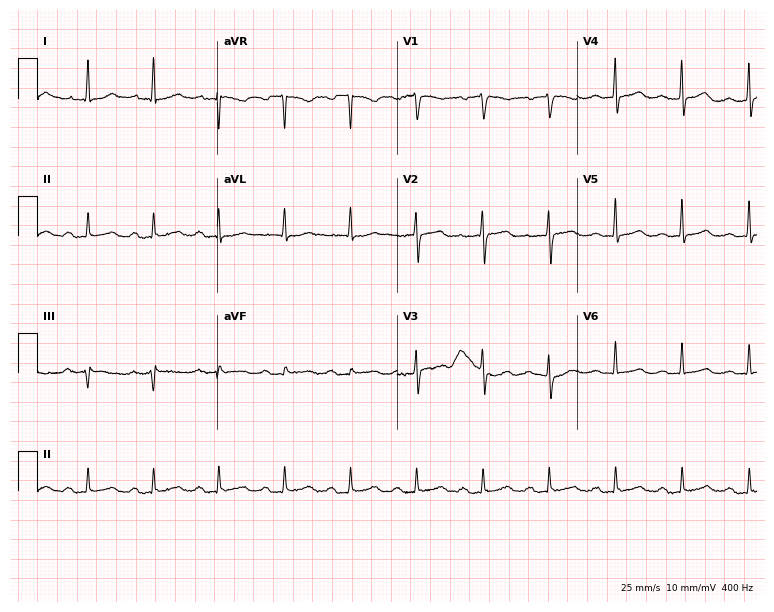
ECG (7.3-second recording at 400 Hz) — a 78-year-old female patient. Labelled as a normal ECG.